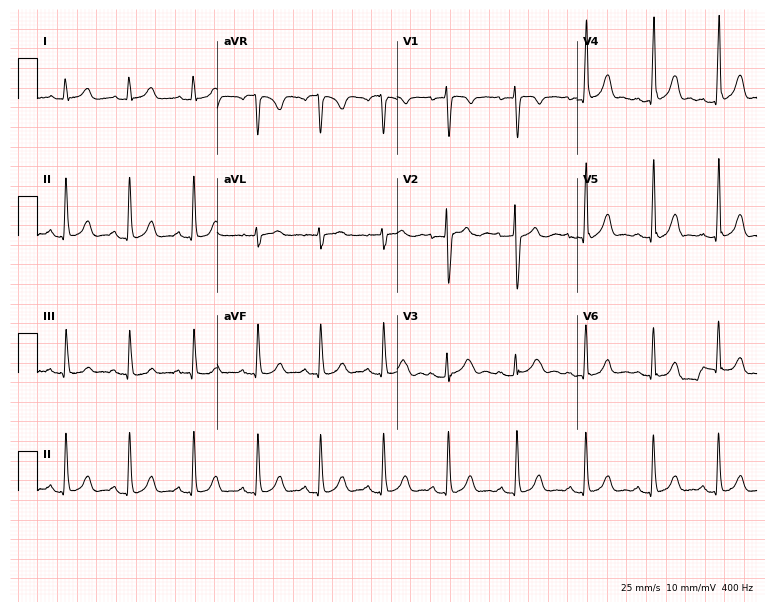
ECG (7.3-second recording at 400 Hz) — a 22-year-old female patient. Screened for six findings — first-degree AV block, right bundle branch block (RBBB), left bundle branch block (LBBB), sinus bradycardia, atrial fibrillation (AF), sinus tachycardia — none is recorded. Other findings, if any, are not listed.